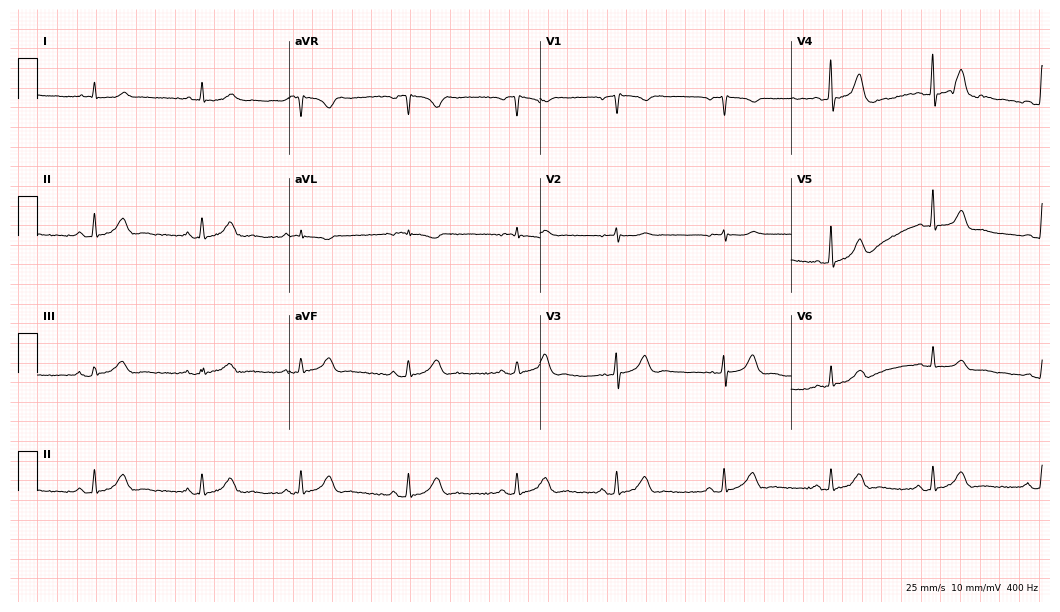
ECG (10.2-second recording at 400 Hz) — a male, 81 years old. Labelled as a normal ECG.